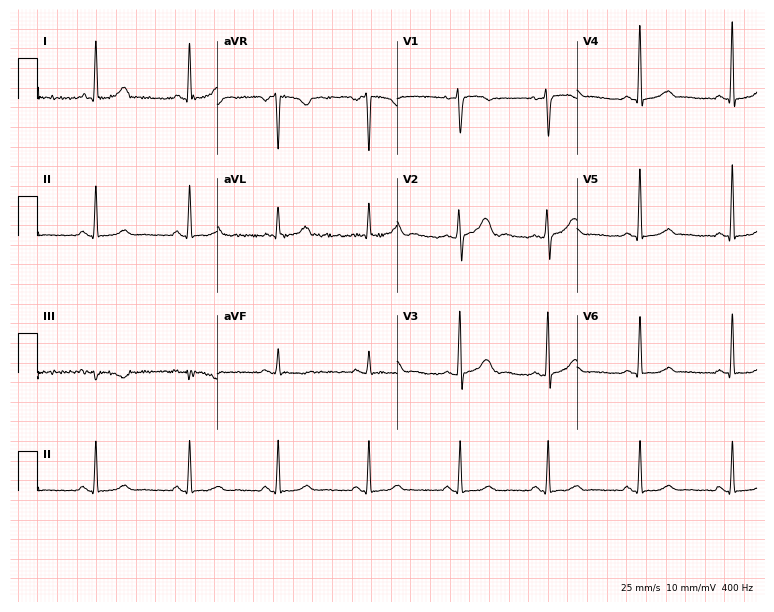
ECG — a female, 47 years old. Screened for six findings — first-degree AV block, right bundle branch block, left bundle branch block, sinus bradycardia, atrial fibrillation, sinus tachycardia — none is recorded.